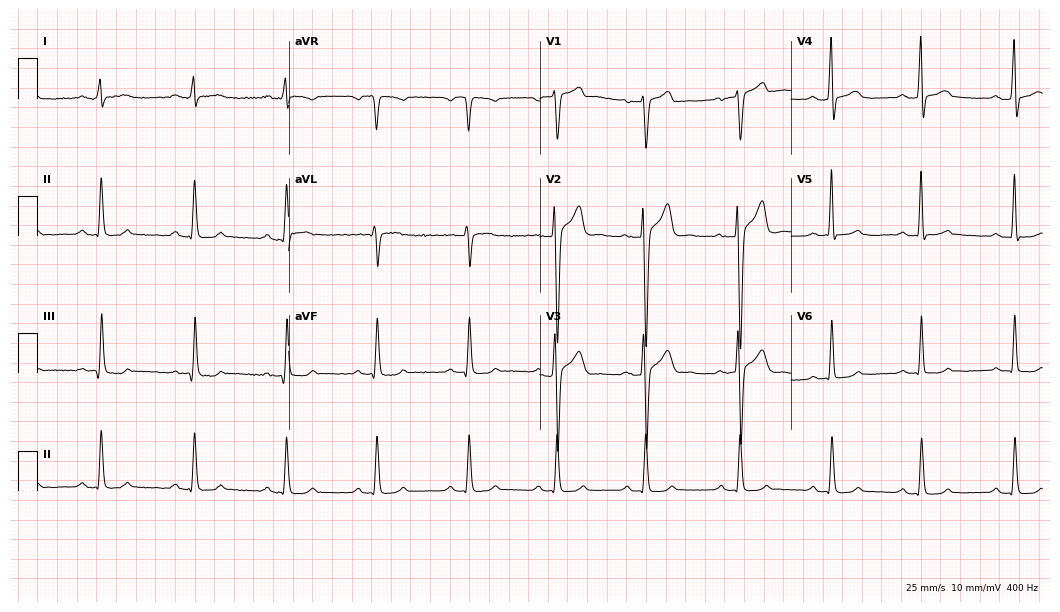
12-lead ECG from a male patient, 27 years old. Screened for six findings — first-degree AV block, right bundle branch block, left bundle branch block, sinus bradycardia, atrial fibrillation, sinus tachycardia — none is recorded.